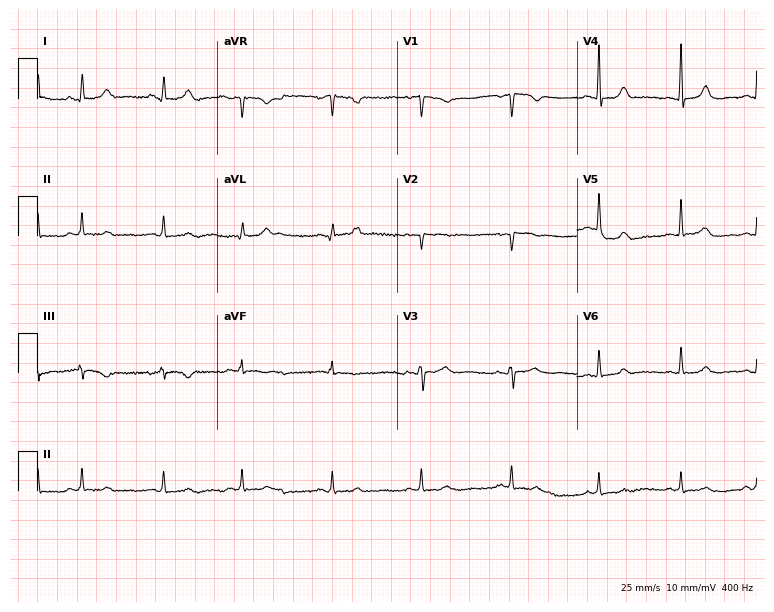
Standard 12-lead ECG recorded from a woman, 43 years old. None of these six findings is recorded: first-degree AV block, right bundle branch block, left bundle branch block, sinus bradycardia, atrial fibrillation, sinus tachycardia. Other findings, if any, are not listed.